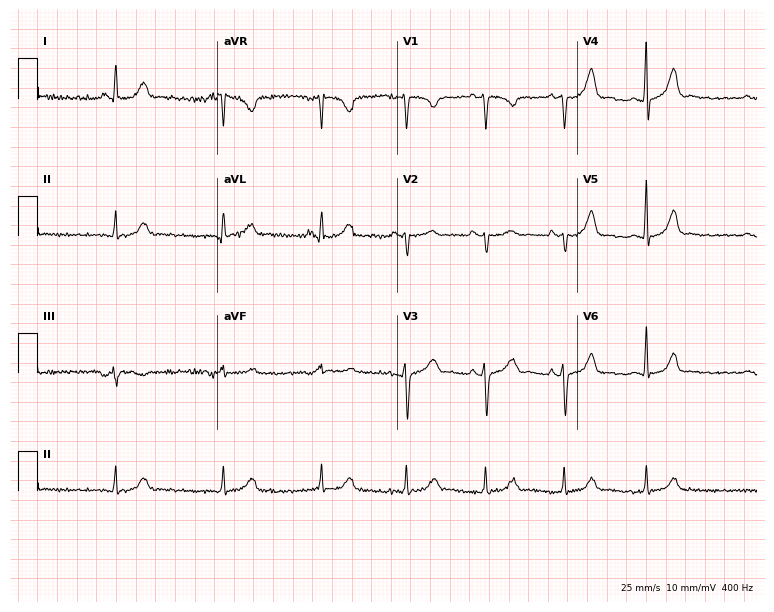
ECG — a female patient, 27 years old. Labelled as a normal ECG.